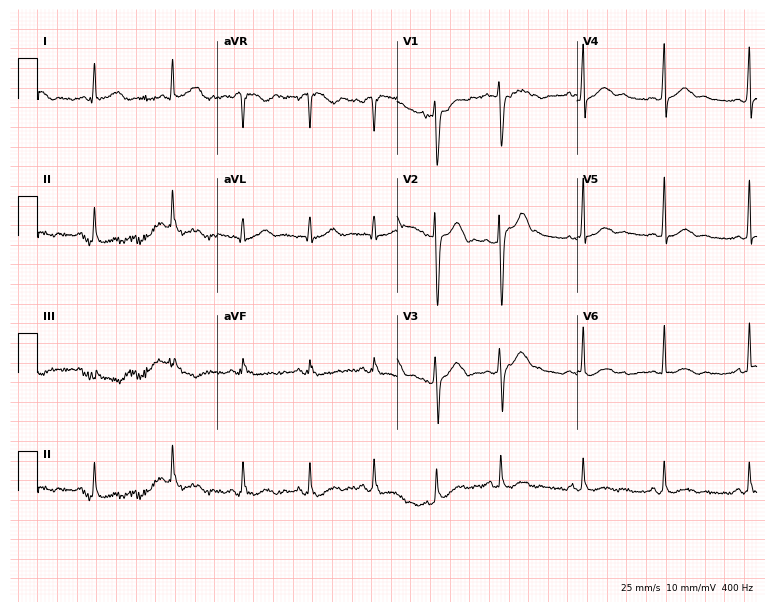
12-lead ECG from a 26-year-old man (7.3-second recording at 400 Hz). Recorded interpretation: within normal limits.